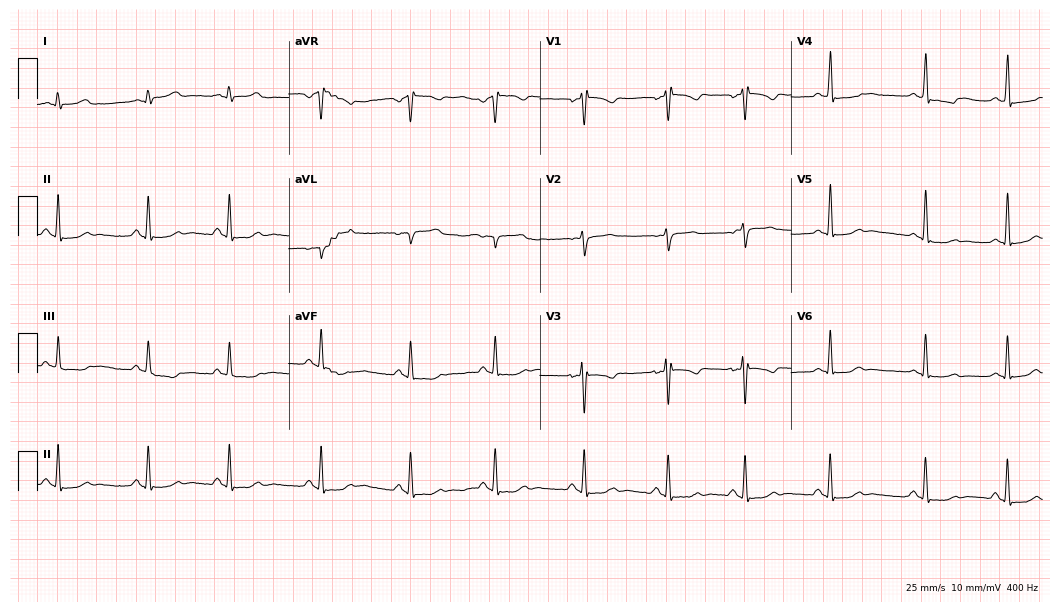
12-lead ECG (10.2-second recording at 400 Hz) from an 18-year-old woman. Screened for six findings — first-degree AV block, right bundle branch block, left bundle branch block, sinus bradycardia, atrial fibrillation, sinus tachycardia — none is recorded. Findings outside these six are not listed.